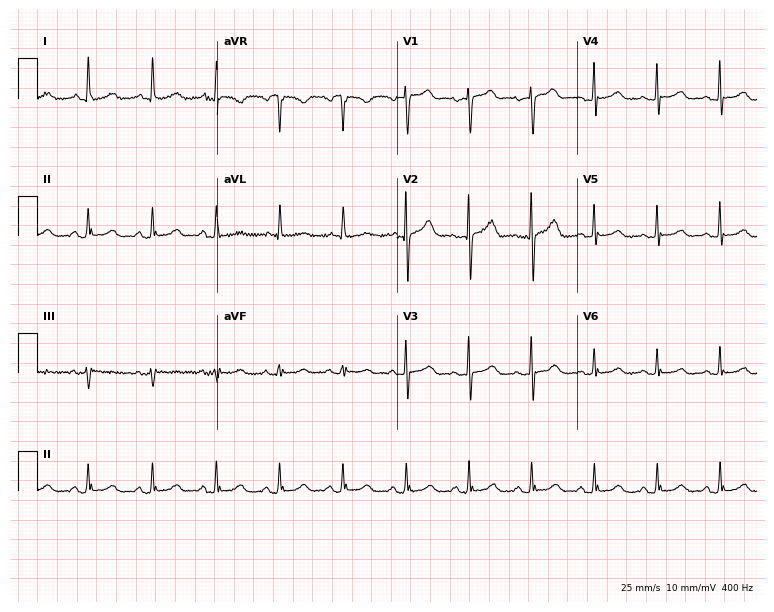
Electrocardiogram, a female patient, 73 years old. Overall reading on record: normal ECG.